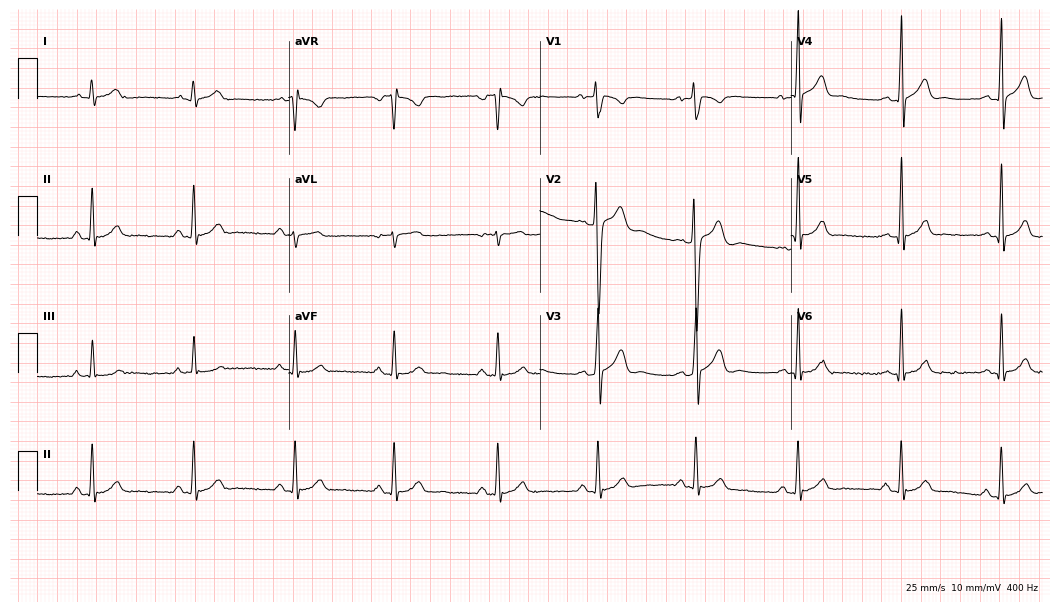
ECG (10.2-second recording at 400 Hz) — a man, 20 years old. Labelled as a normal ECG.